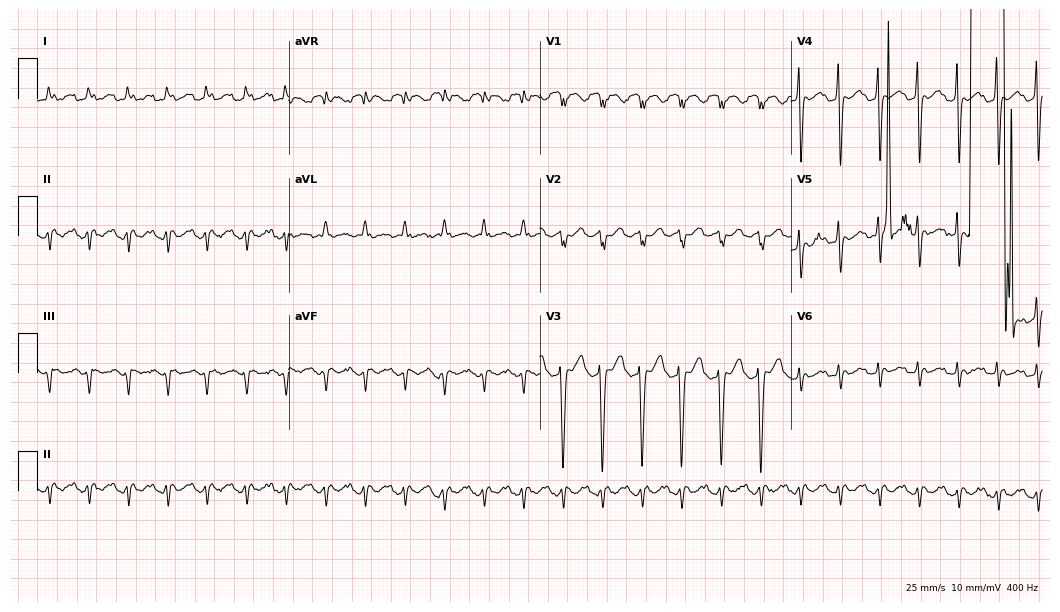
12-lead ECG from a male patient, 67 years old (10.2-second recording at 400 Hz). Shows sinus tachycardia (a sinus rate of 100 beats per minute or more).